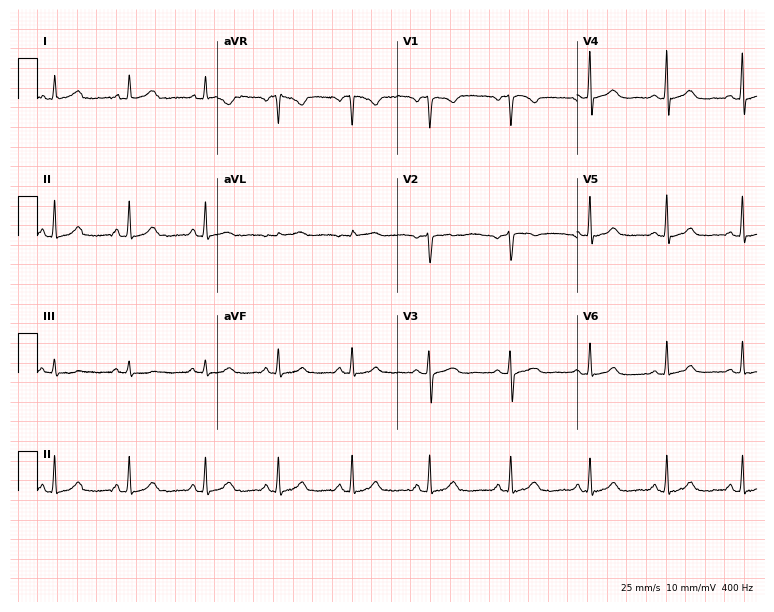
12-lead ECG from a 41-year-old female patient. Recorded interpretation: within normal limits.